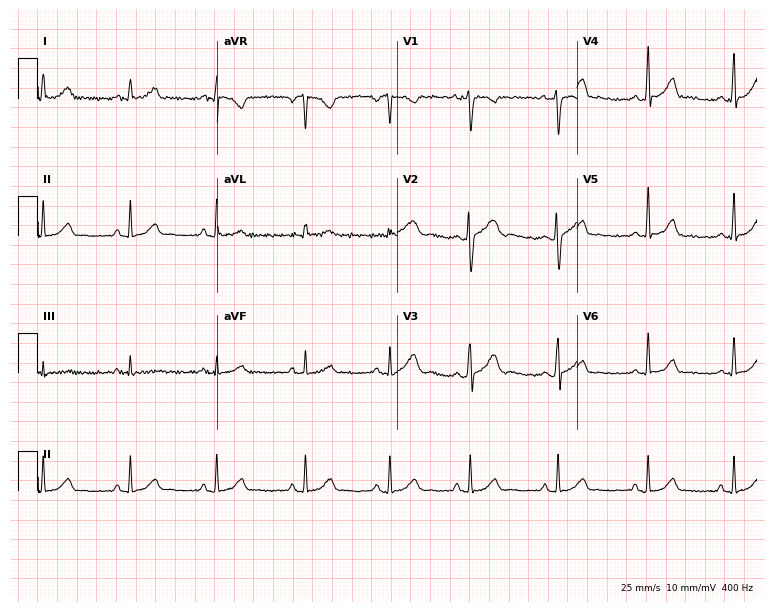
Electrocardiogram (7.3-second recording at 400 Hz), a 29-year-old woman. Overall reading on record: normal ECG.